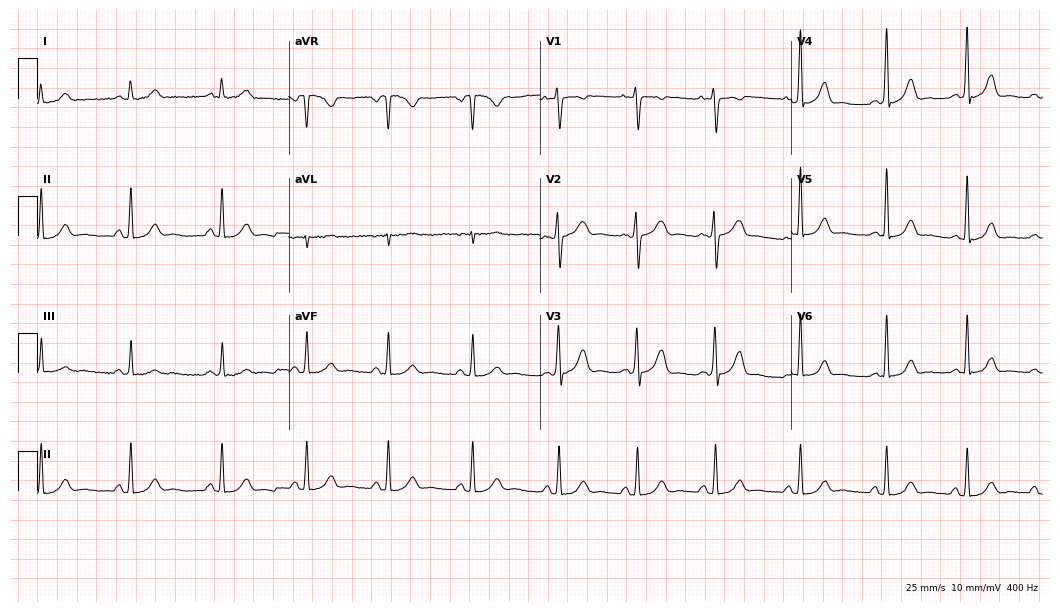
Resting 12-lead electrocardiogram (10.2-second recording at 400 Hz). Patient: a female, 28 years old. Read as a normal ECG.